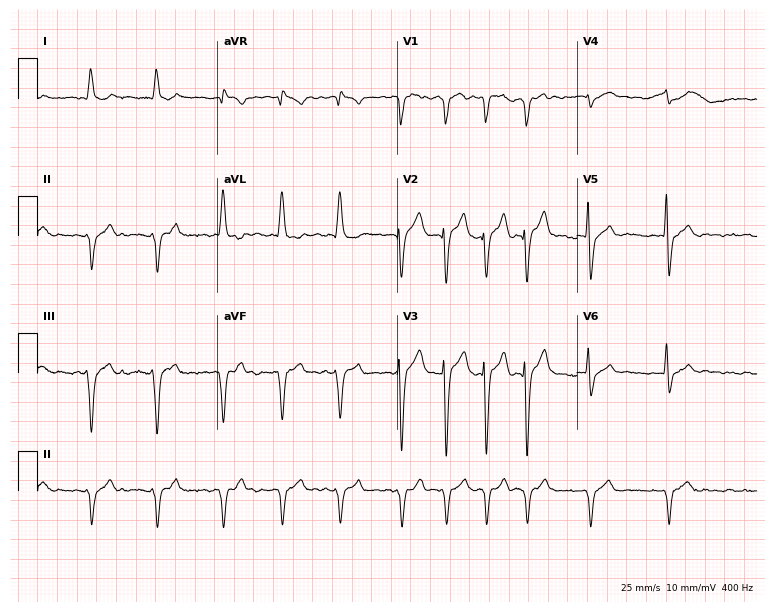
Standard 12-lead ECG recorded from a man, 76 years old. The tracing shows atrial fibrillation (AF).